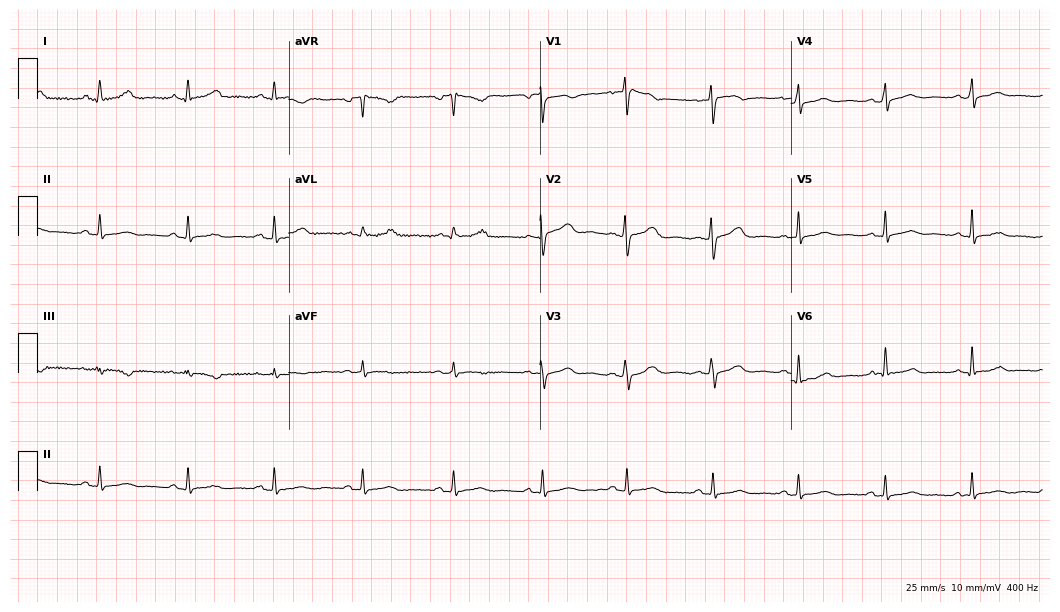
Resting 12-lead electrocardiogram. Patient: a 39-year-old female. Read as a normal ECG.